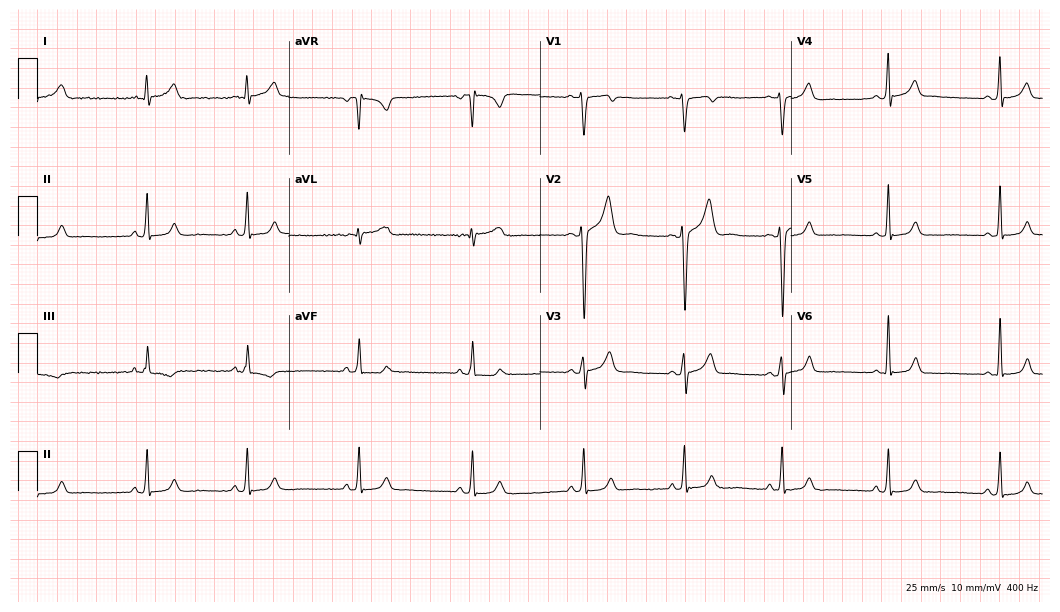
Electrocardiogram (10.2-second recording at 400 Hz), a man, 23 years old. Of the six screened findings (first-degree AV block, right bundle branch block, left bundle branch block, sinus bradycardia, atrial fibrillation, sinus tachycardia), none is recorded. Only these six findings were labelled.